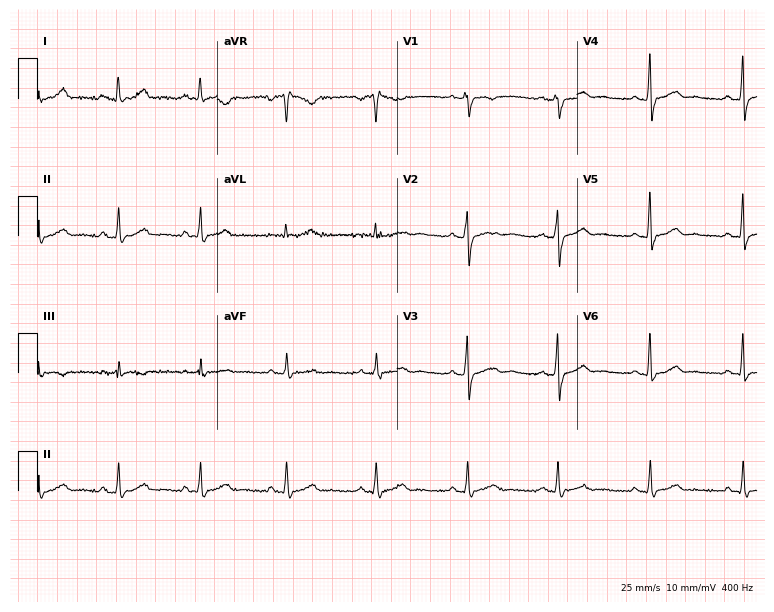
12-lead ECG from a female, 50 years old. Labelled as a normal ECG.